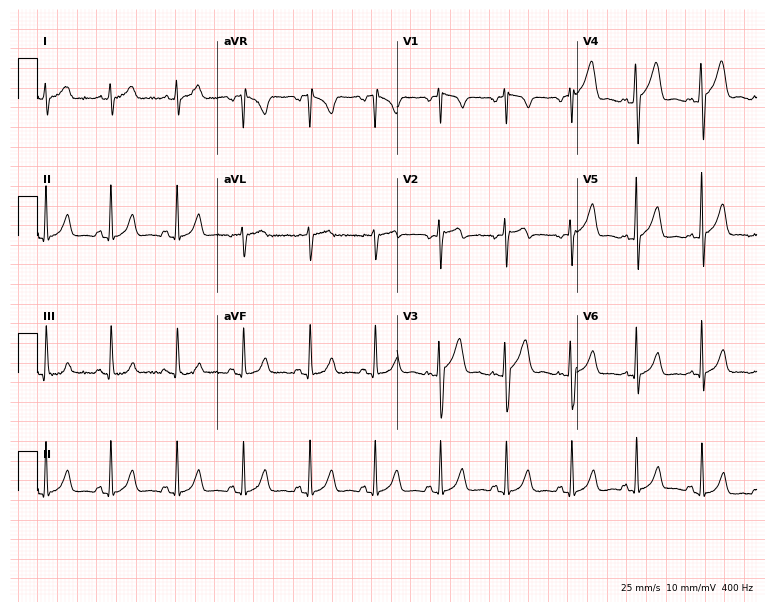
Resting 12-lead electrocardiogram. Patient: a male, 34 years old. Read as a normal ECG.